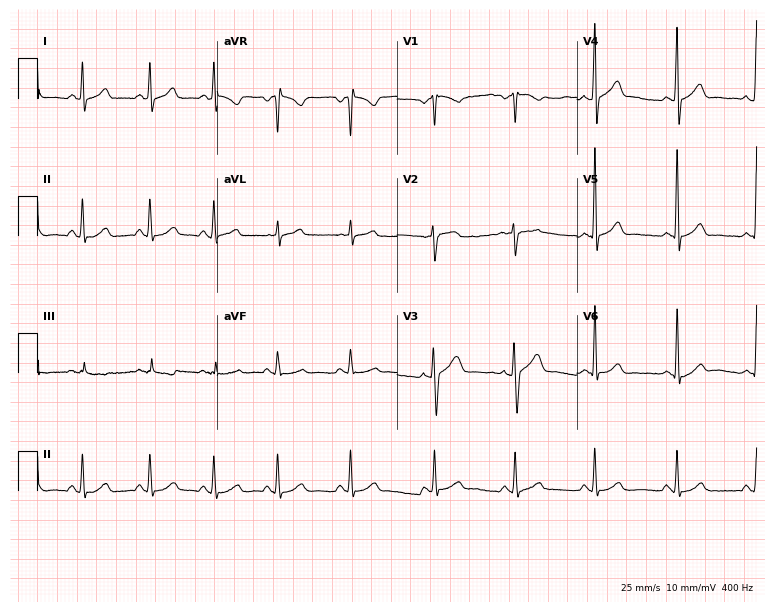
Standard 12-lead ECG recorded from a man, 36 years old (7.3-second recording at 400 Hz). Read as a normal ECG.